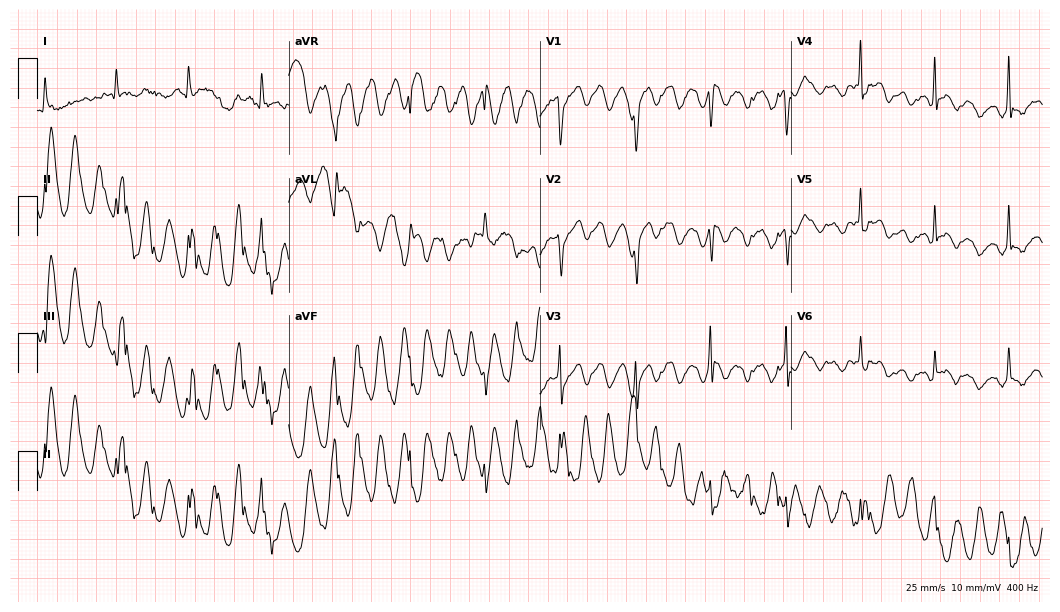
12-lead ECG (10.2-second recording at 400 Hz) from a woman, 71 years old. Screened for six findings — first-degree AV block, right bundle branch block (RBBB), left bundle branch block (LBBB), sinus bradycardia, atrial fibrillation (AF), sinus tachycardia — none is recorded.